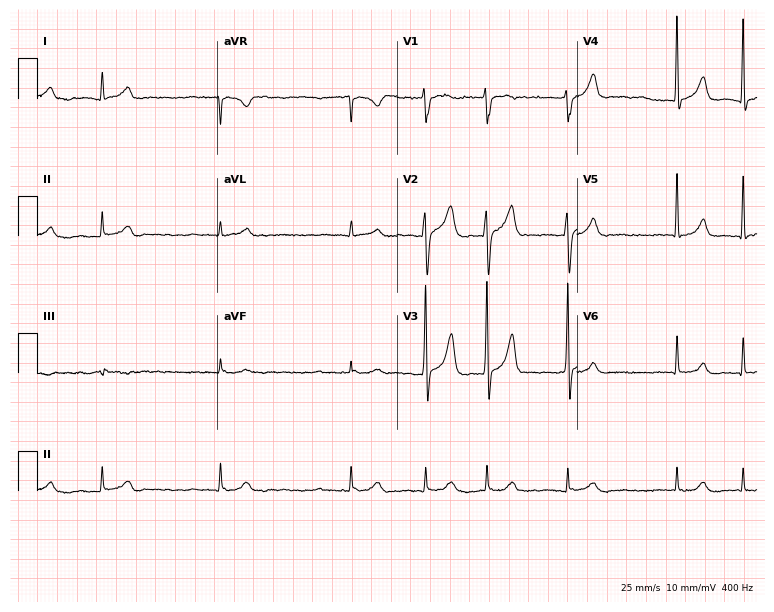
Resting 12-lead electrocardiogram. Patient: a 73-year-old male. The tracing shows atrial fibrillation (AF).